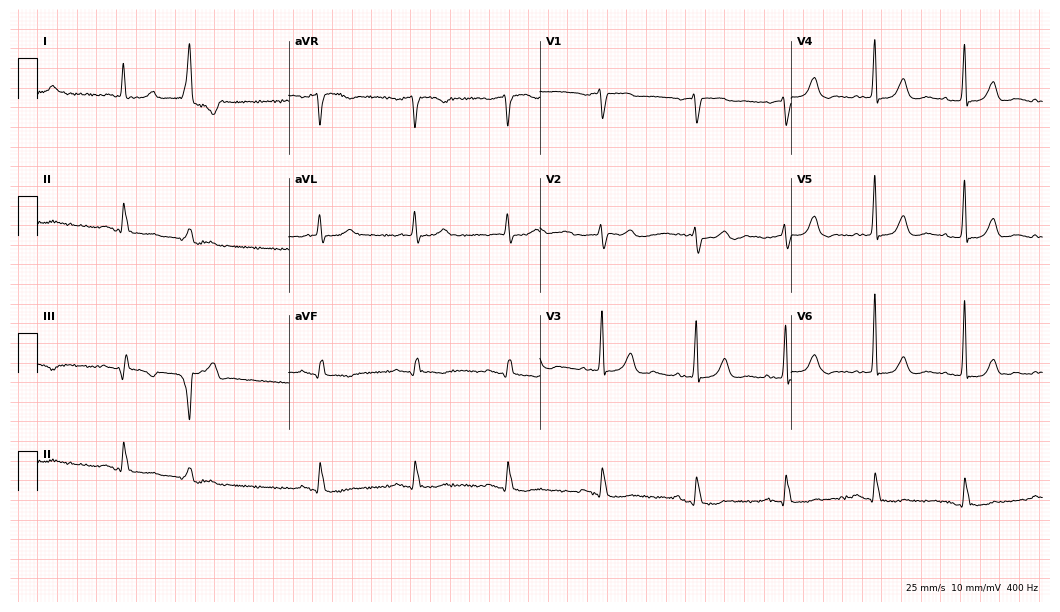
Electrocardiogram, an 81-year-old male patient. Of the six screened findings (first-degree AV block, right bundle branch block, left bundle branch block, sinus bradycardia, atrial fibrillation, sinus tachycardia), none is recorded.